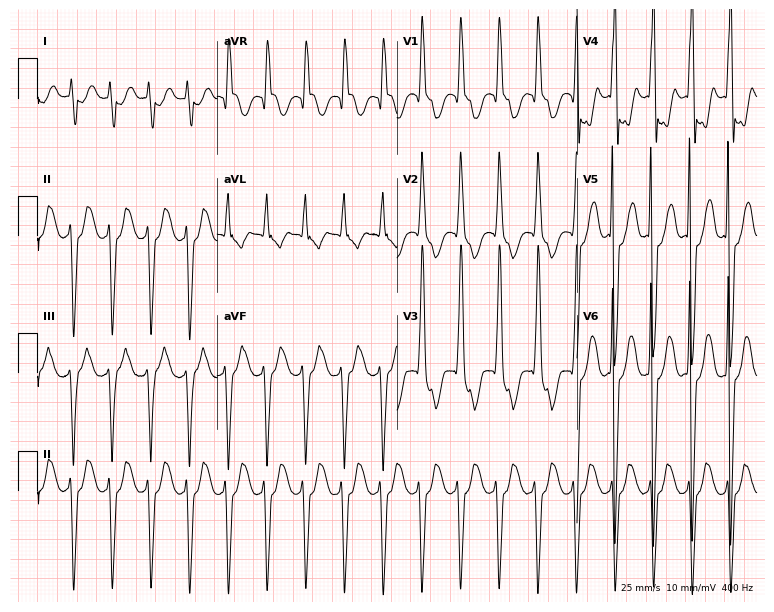
Standard 12-lead ECG recorded from an 18-year-old woman (7.3-second recording at 400 Hz). The tracing shows atrial fibrillation (AF).